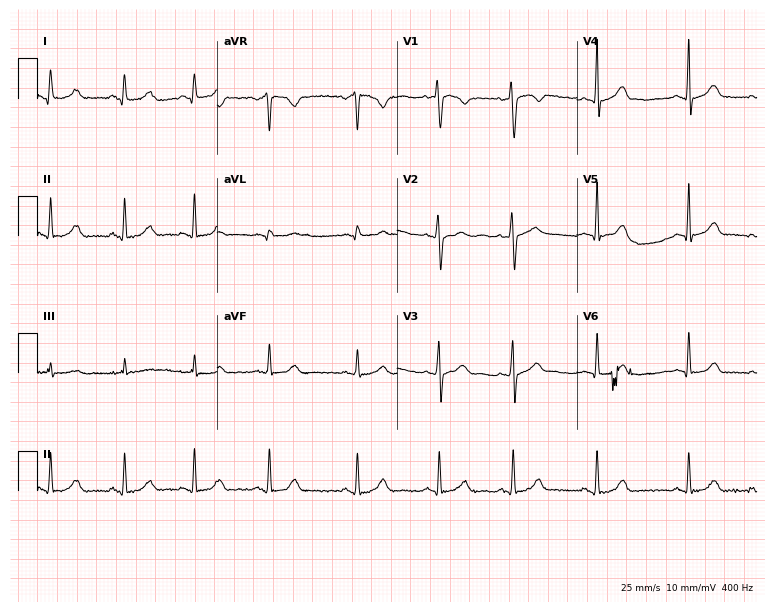
12-lead ECG from a 25-year-old woman (7.3-second recording at 400 Hz). No first-degree AV block, right bundle branch block, left bundle branch block, sinus bradycardia, atrial fibrillation or sinus tachycardia recorded for this tracing.